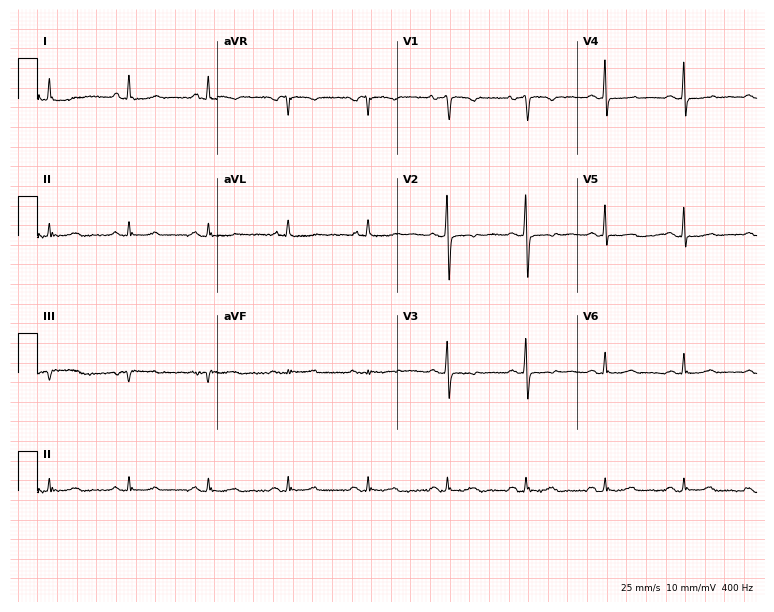
Standard 12-lead ECG recorded from a 78-year-old female. None of these six findings is recorded: first-degree AV block, right bundle branch block (RBBB), left bundle branch block (LBBB), sinus bradycardia, atrial fibrillation (AF), sinus tachycardia. Findings outside these six are not listed.